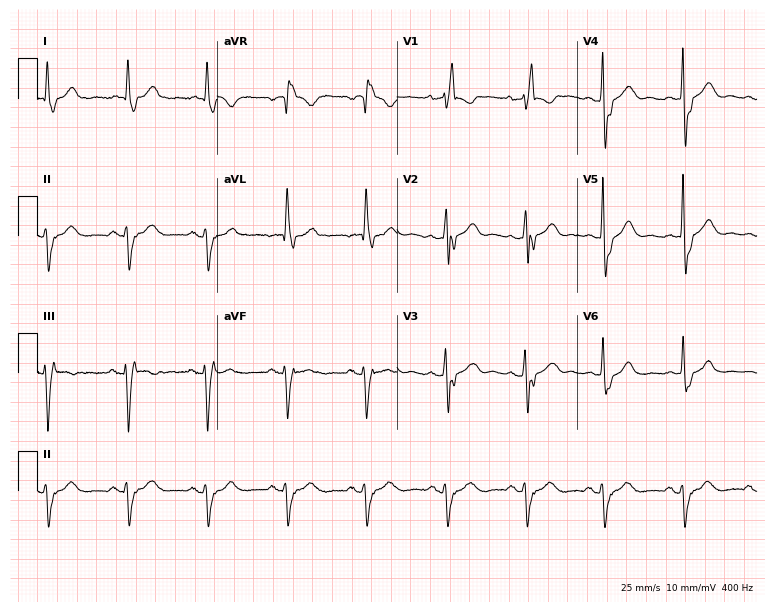
12-lead ECG (7.3-second recording at 400 Hz) from a female, 84 years old. Findings include right bundle branch block.